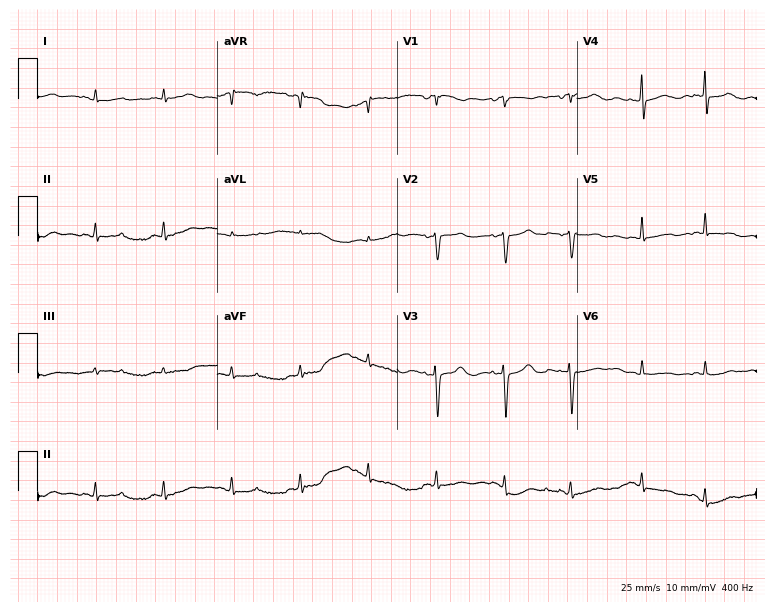
ECG (7.3-second recording at 400 Hz) — a male, 81 years old. Screened for six findings — first-degree AV block, right bundle branch block, left bundle branch block, sinus bradycardia, atrial fibrillation, sinus tachycardia — none is recorded. Findings outside these six are not listed.